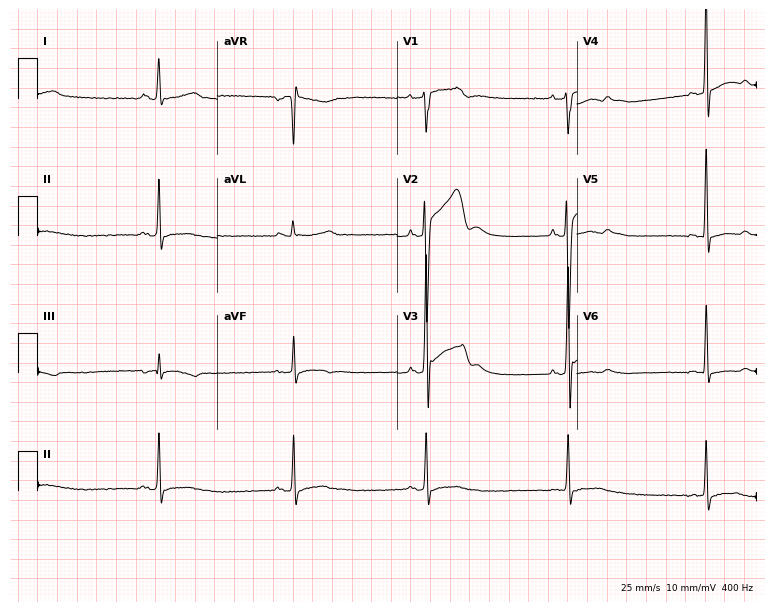
Electrocardiogram, a 26-year-old man. Of the six screened findings (first-degree AV block, right bundle branch block, left bundle branch block, sinus bradycardia, atrial fibrillation, sinus tachycardia), none is recorded. Only these six findings were labelled.